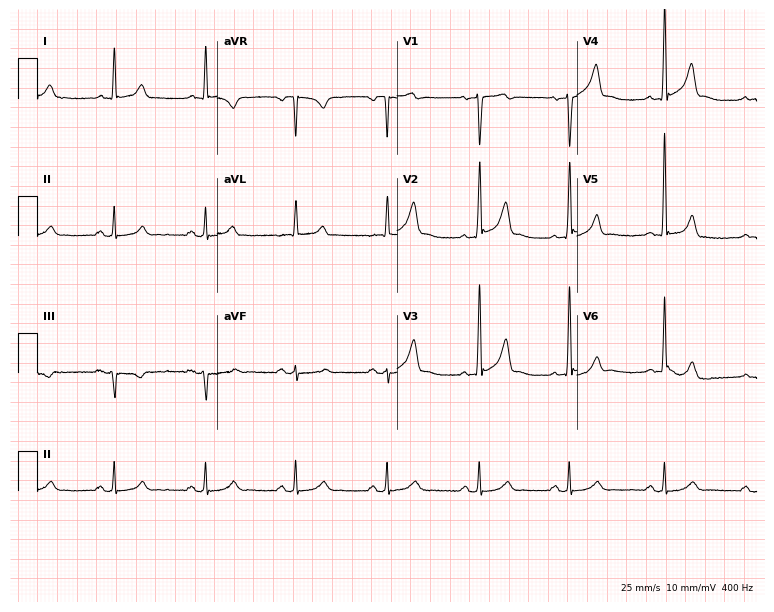
12-lead ECG from a male patient, 73 years old (7.3-second recording at 400 Hz). No first-degree AV block, right bundle branch block, left bundle branch block, sinus bradycardia, atrial fibrillation or sinus tachycardia recorded for this tracing. Only these six findings were labelled.